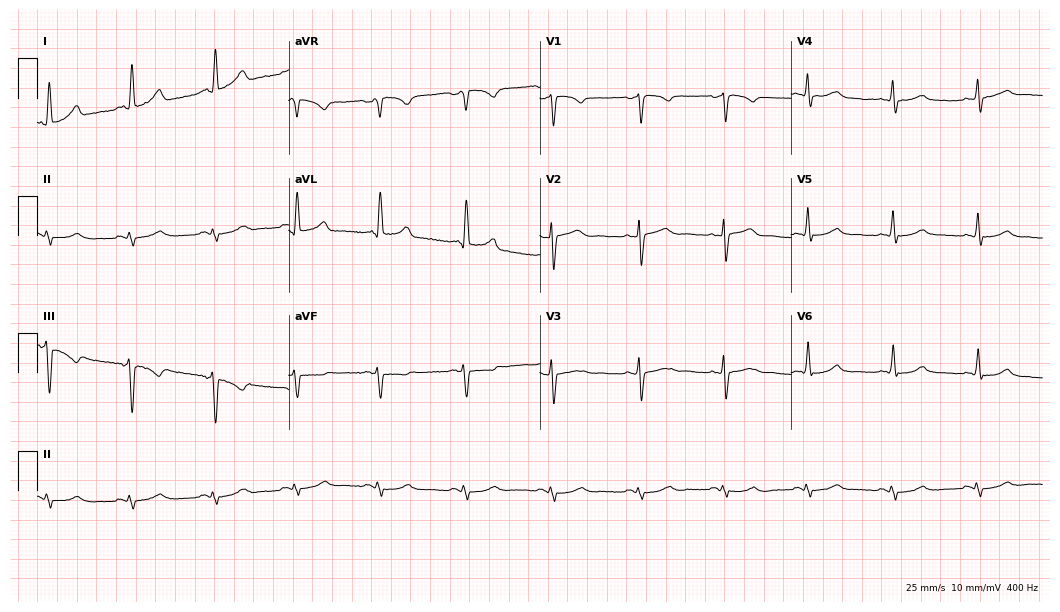
ECG — a 42-year-old woman. Screened for six findings — first-degree AV block, right bundle branch block, left bundle branch block, sinus bradycardia, atrial fibrillation, sinus tachycardia — none is recorded.